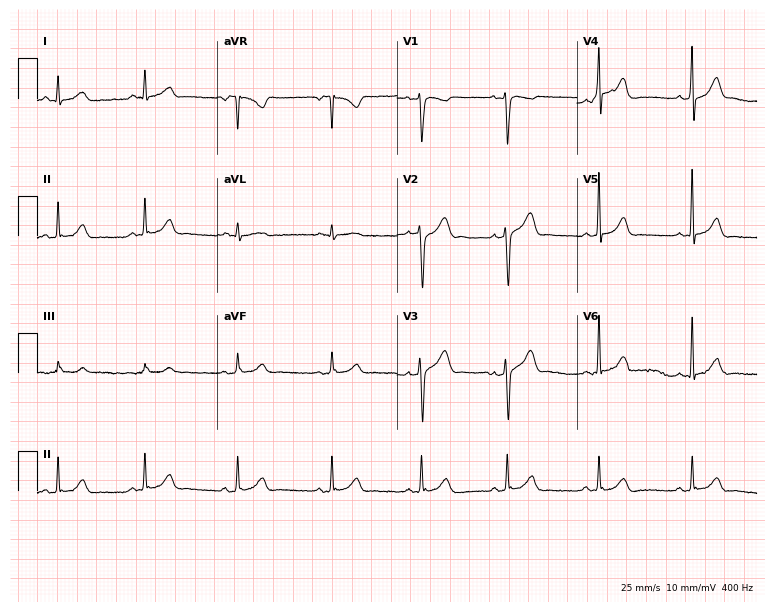
12-lead ECG from a male patient, 22 years old. No first-degree AV block, right bundle branch block (RBBB), left bundle branch block (LBBB), sinus bradycardia, atrial fibrillation (AF) or sinus tachycardia recorded for this tracing.